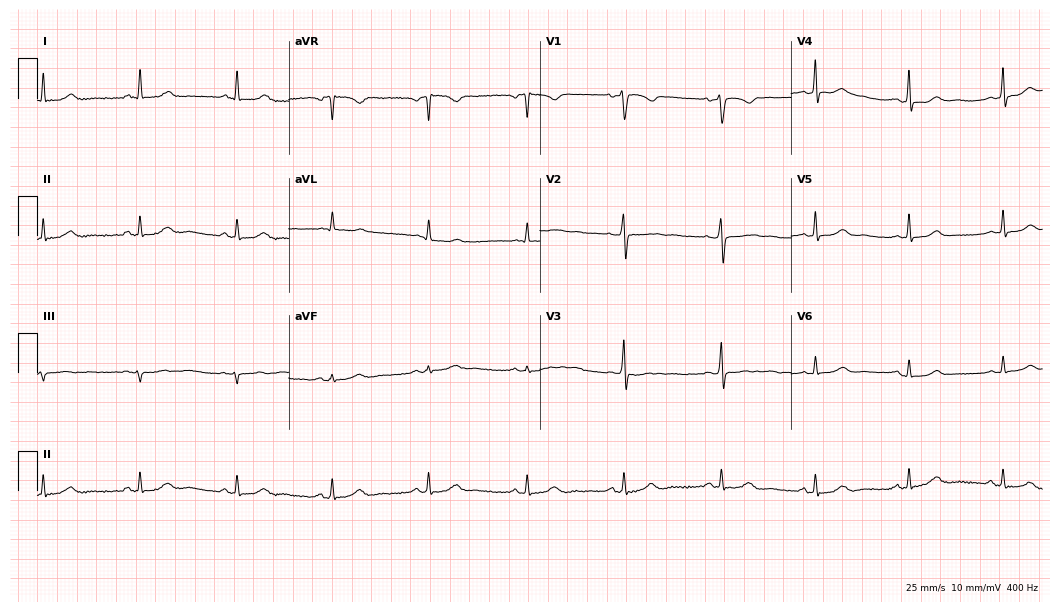
12-lead ECG from a female, 60 years old. Screened for six findings — first-degree AV block, right bundle branch block, left bundle branch block, sinus bradycardia, atrial fibrillation, sinus tachycardia — none is recorded.